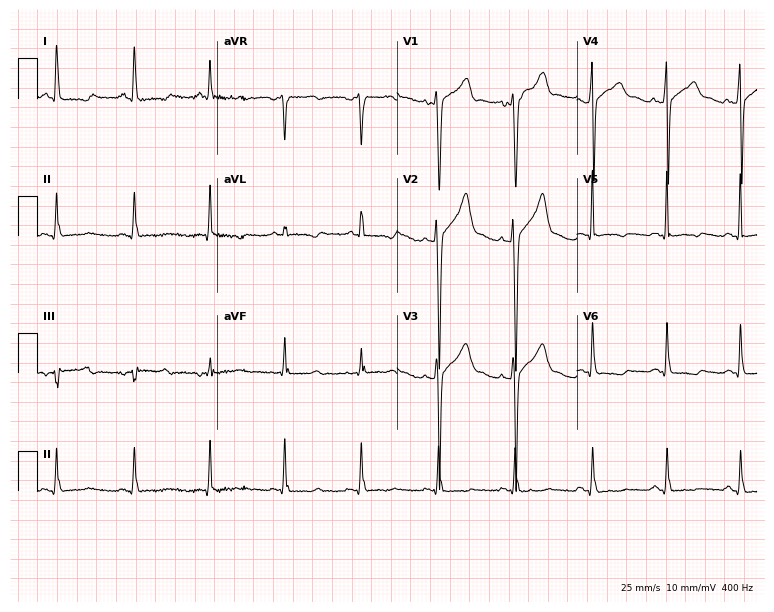
ECG — a 40-year-old male patient. Screened for six findings — first-degree AV block, right bundle branch block (RBBB), left bundle branch block (LBBB), sinus bradycardia, atrial fibrillation (AF), sinus tachycardia — none is recorded. Findings outside these six are not listed.